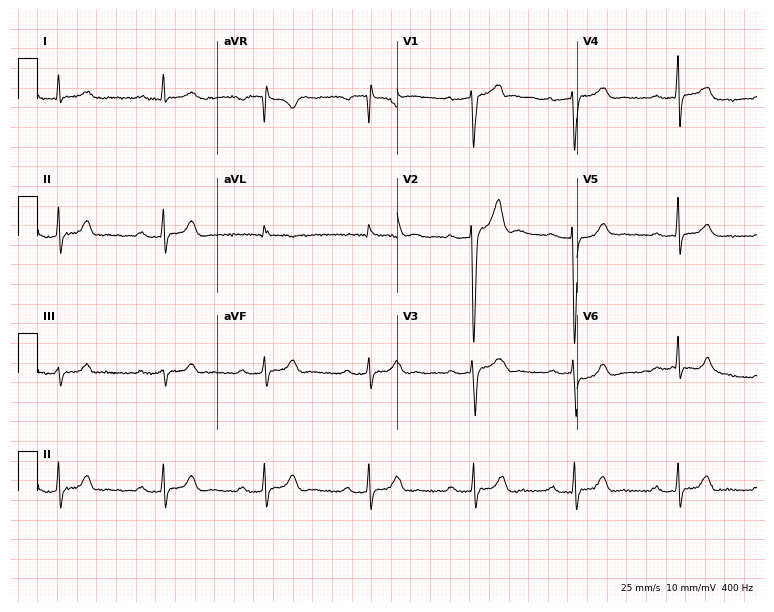
Standard 12-lead ECG recorded from a male, 27 years old. The tracing shows first-degree AV block.